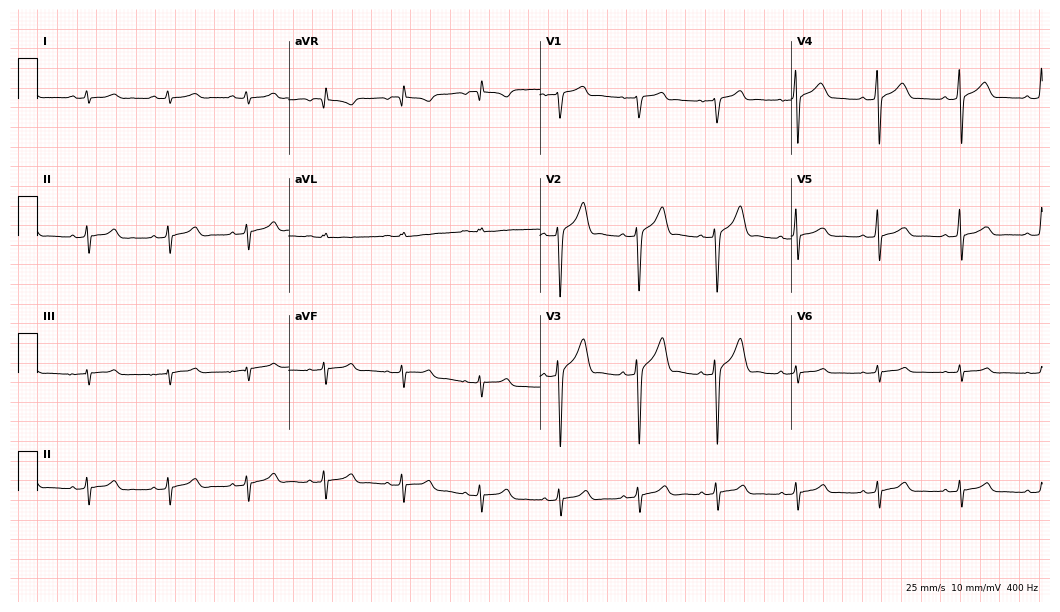
Standard 12-lead ECG recorded from a male, 34 years old (10.2-second recording at 400 Hz). None of these six findings is recorded: first-degree AV block, right bundle branch block, left bundle branch block, sinus bradycardia, atrial fibrillation, sinus tachycardia. Other findings, if any, are not listed.